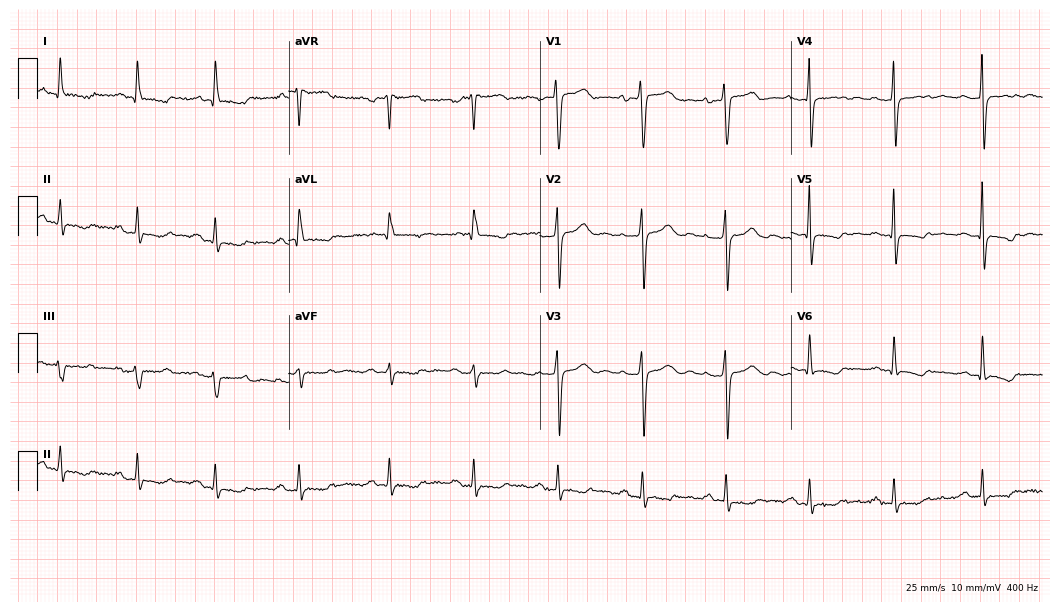
12-lead ECG from a 48-year-old woman (10.2-second recording at 400 Hz). No first-degree AV block, right bundle branch block (RBBB), left bundle branch block (LBBB), sinus bradycardia, atrial fibrillation (AF) or sinus tachycardia recorded for this tracing.